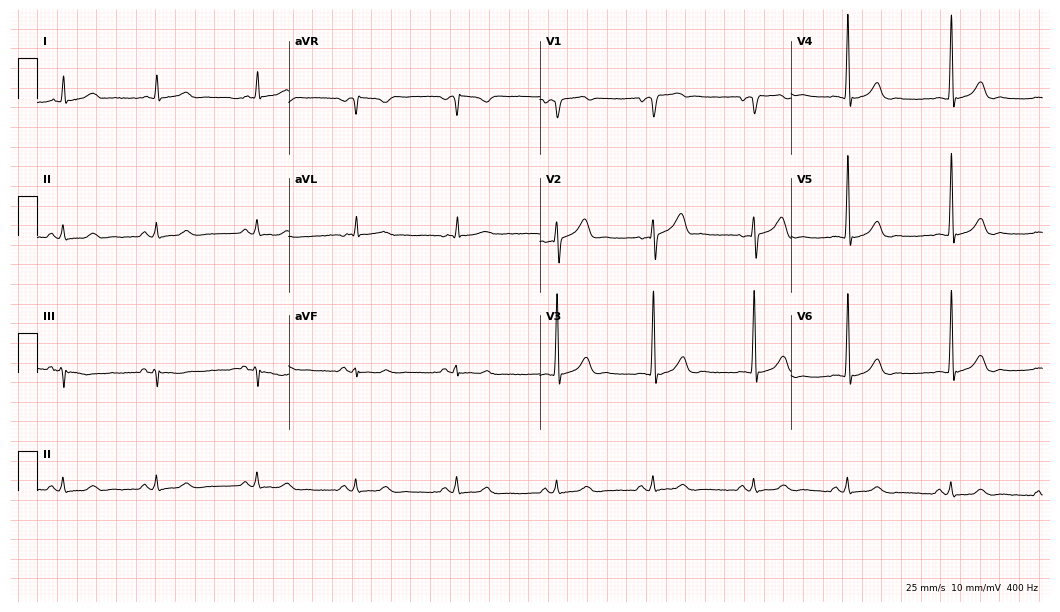
Resting 12-lead electrocardiogram. Patient: a man, 70 years old. None of these six findings is recorded: first-degree AV block, right bundle branch block (RBBB), left bundle branch block (LBBB), sinus bradycardia, atrial fibrillation (AF), sinus tachycardia. Only these six findings were labelled.